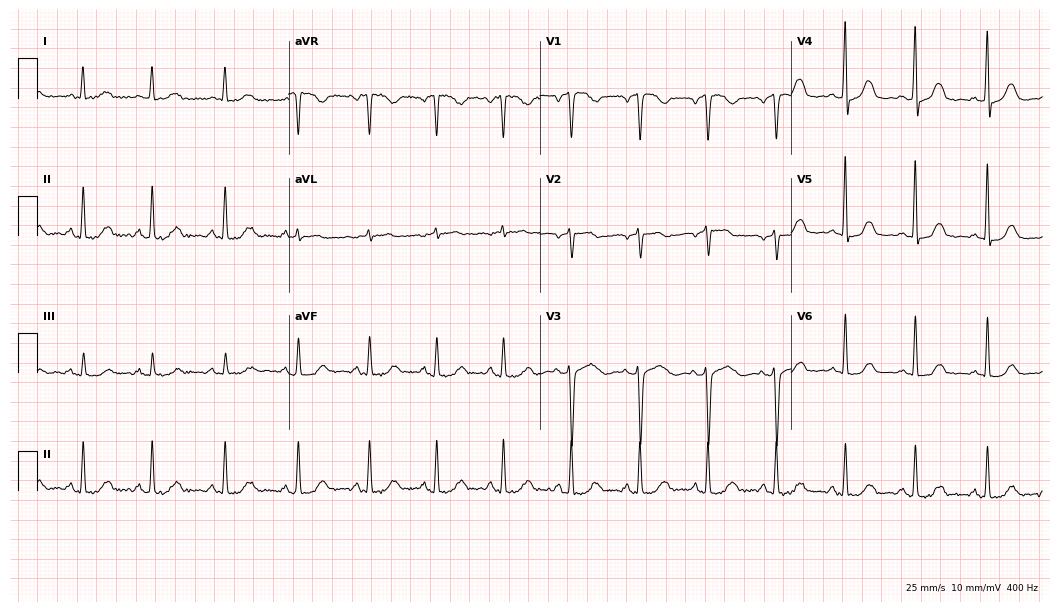
Standard 12-lead ECG recorded from a 46-year-old female. Read as a normal ECG.